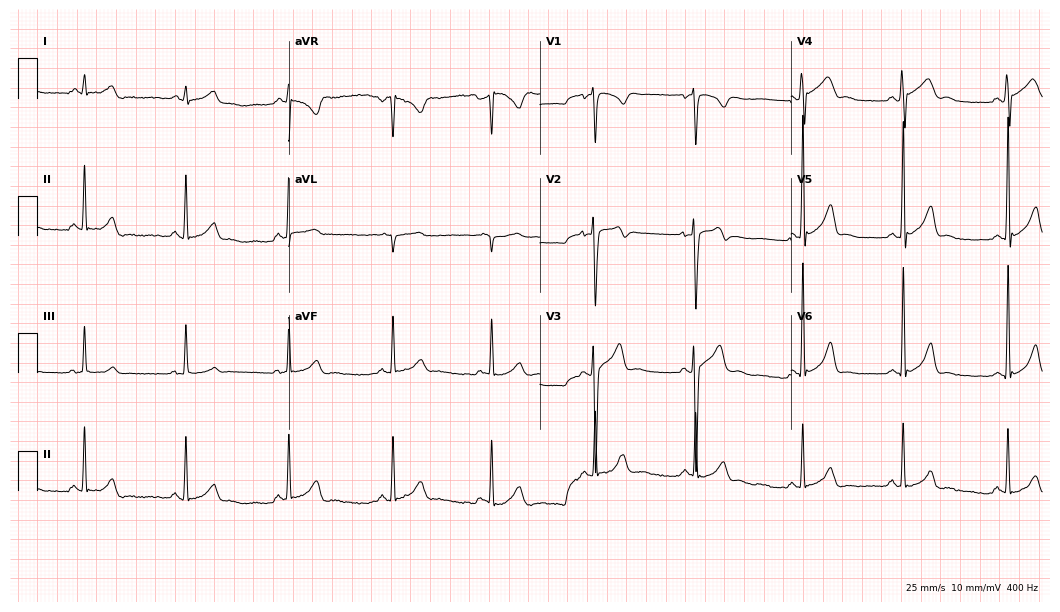
Resting 12-lead electrocardiogram (10.2-second recording at 400 Hz). Patient: a 24-year-old male. Read as a normal ECG.